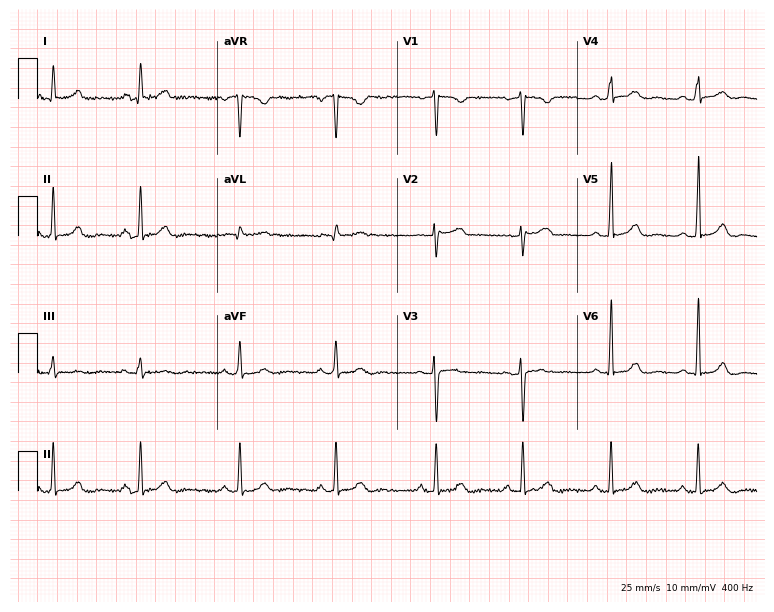
Standard 12-lead ECG recorded from a 37-year-old female patient (7.3-second recording at 400 Hz). Read as a normal ECG.